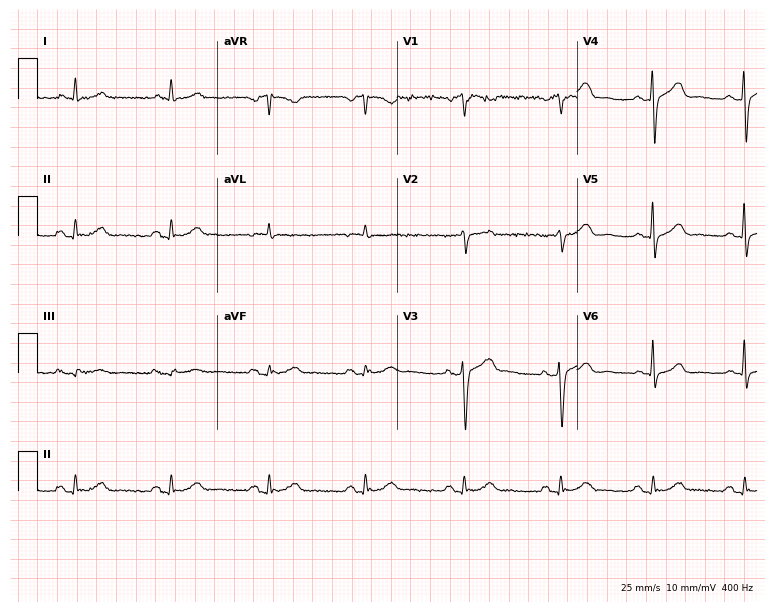
ECG (7.3-second recording at 400 Hz) — a man, 75 years old. Labelled as a normal ECG.